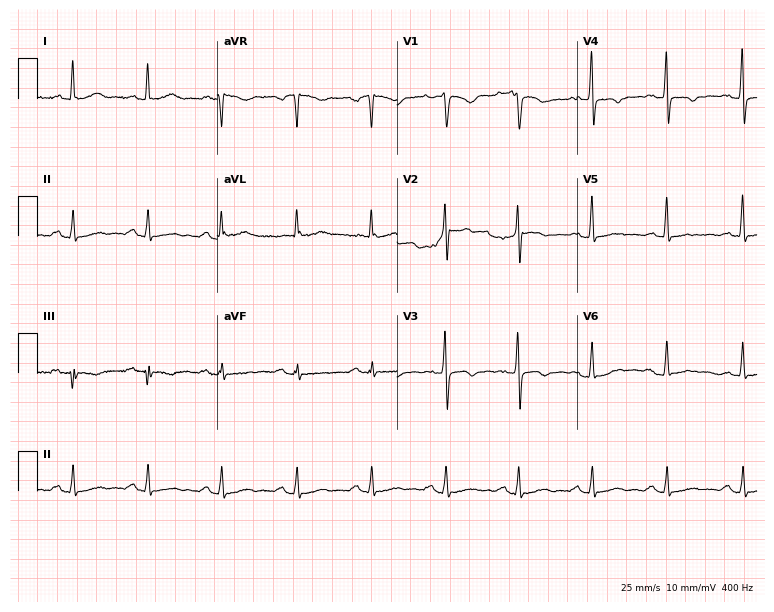
Electrocardiogram, a 49-year-old man. Overall reading on record: normal ECG.